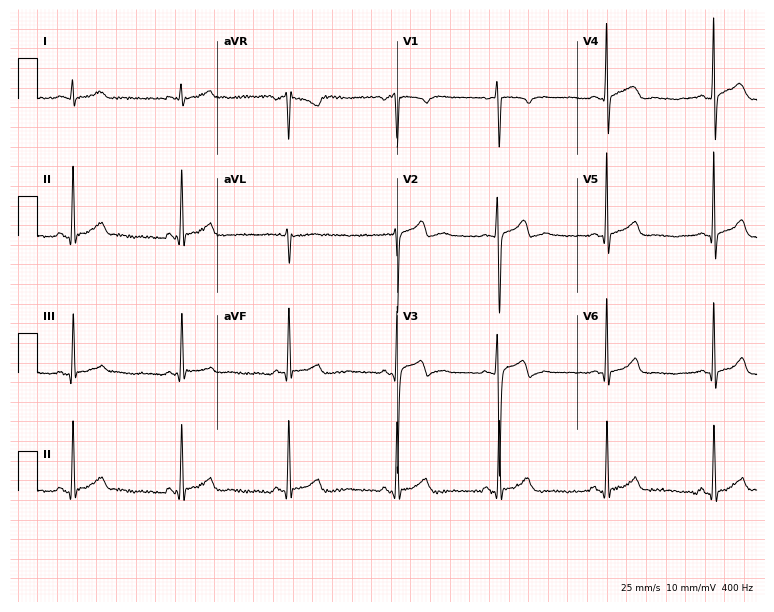
Electrocardiogram, a 21-year-old man. Overall reading on record: normal ECG.